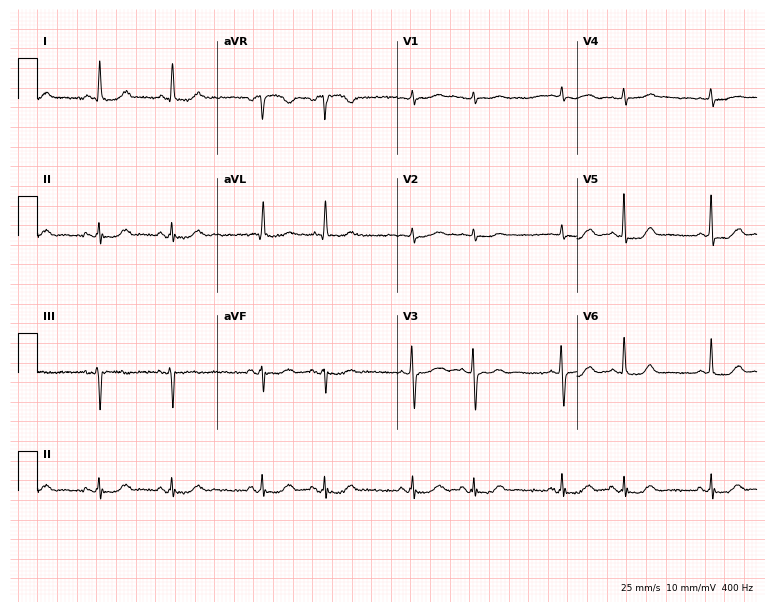
12-lead ECG from a 73-year-old female patient. Labelled as a normal ECG.